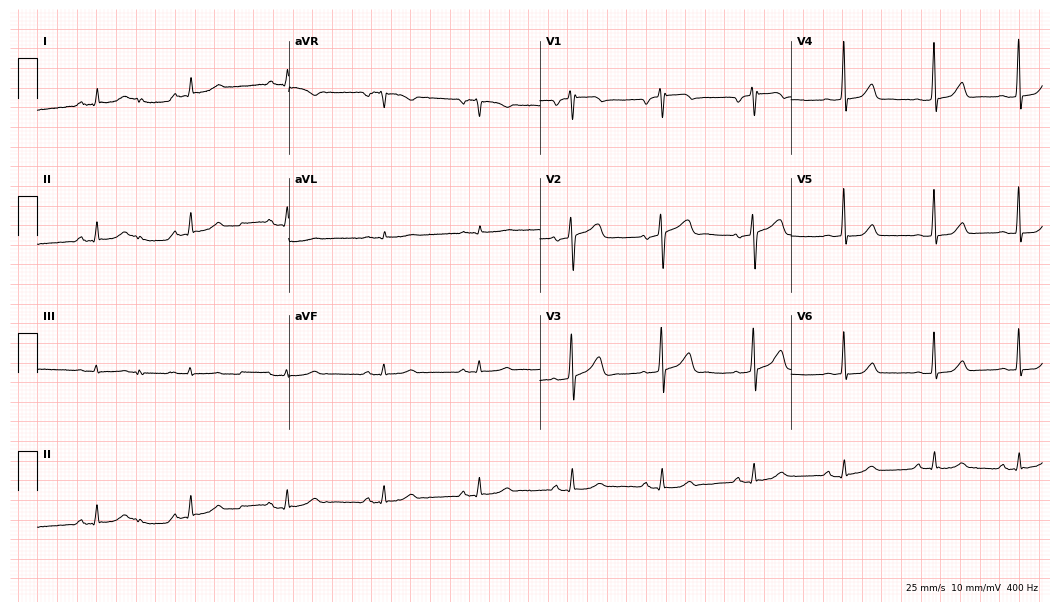
12-lead ECG from a female patient, 58 years old (10.2-second recording at 400 Hz). No first-degree AV block, right bundle branch block, left bundle branch block, sinus bradycardia, atrial fibrillation or sinus tachycardia recorded for this tracing. Findings outside these six are not listed.